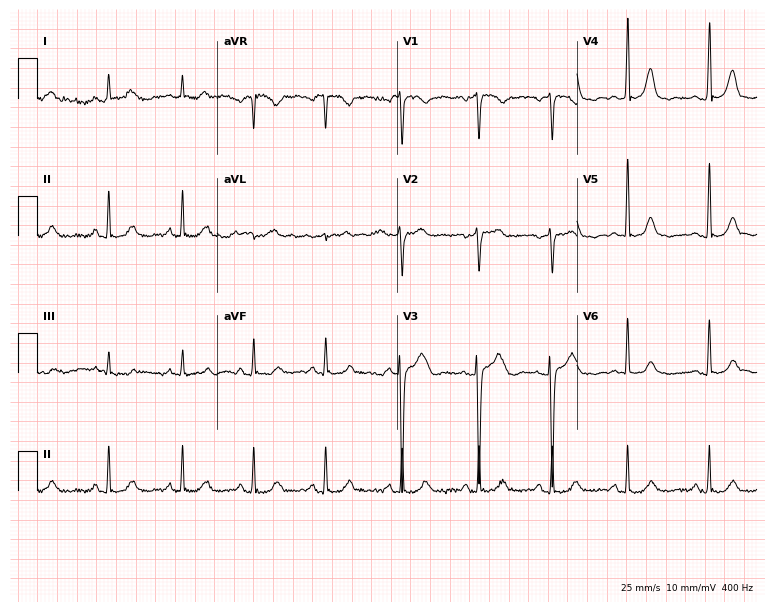
Electrocardiogram (7.3-second recording at 400 Hz), a woman, 44 years old. Overall reading on record: normal ECG.